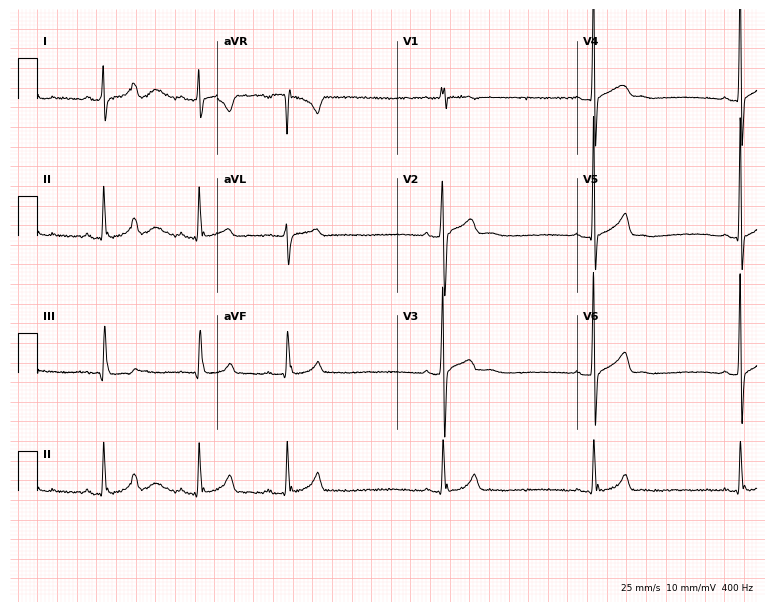
Electrocardiogram (7.3-second recording at 400 Hz), a 19-year-old male. Of the six screened findings (first-degree AV block, right bundle branch block, left bundle branch block, sinus bradycardia, atrial fibrillation, sinus tachycardia), none is recorded. Only these six findings were labelled.